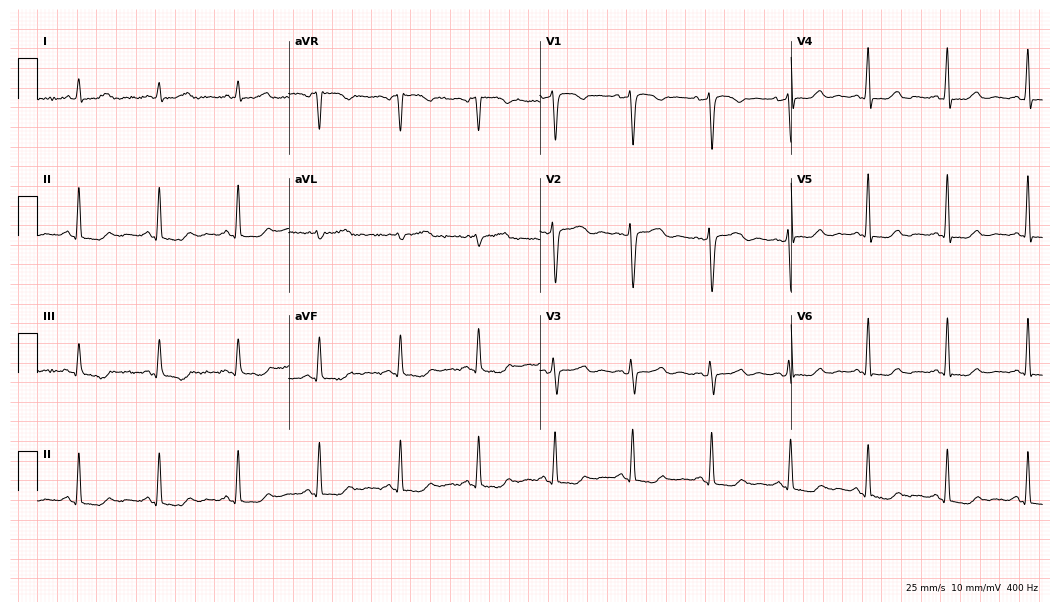
Standard 12-lead ECG recorded from a woman, 55 years old. None of these six findings is recorded: first-degree AV block, right bundle branch block (RBBB), left bundle branch block (LBBB), sinus bradycardia, atrial fibrillation (AF), sinus tachycardia.